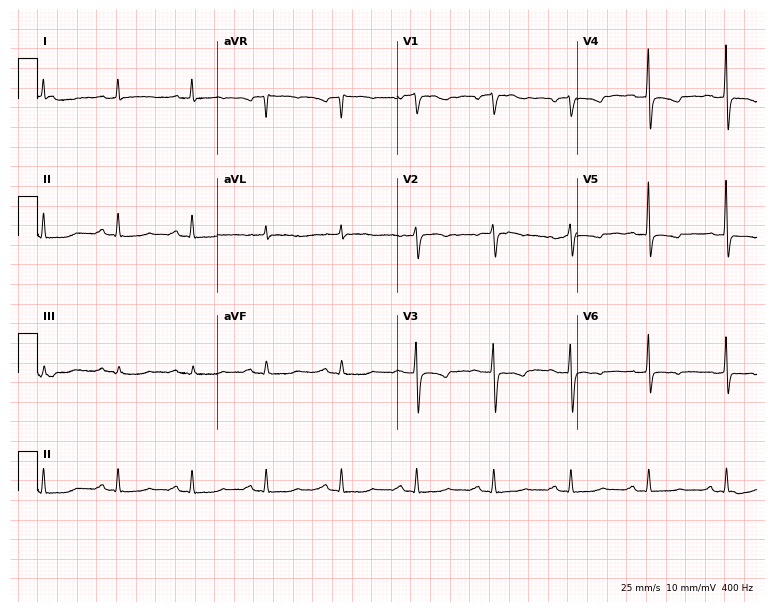
Resting 12-lead electrocardiogram (7.3-second recording at 400 Hz). Patient: a 53-year-old male. None of these six findings is recorded: first-degree AV block, right bundle branch block, left bundle branch block, sinus bradycardia, atrial fibrillation, sinus tachycardia. Only these six findings were labelled.